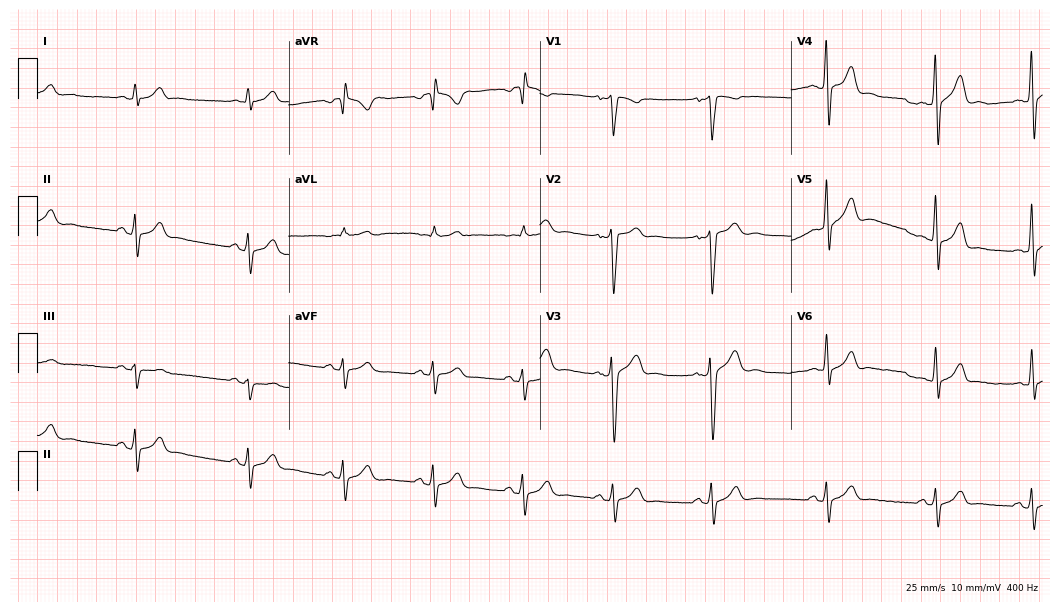
Resting 12-lead electrocardiogram (10.2-second recording at 400 Hz). Patient: a male, 33 years old. Read as a normal ECG.